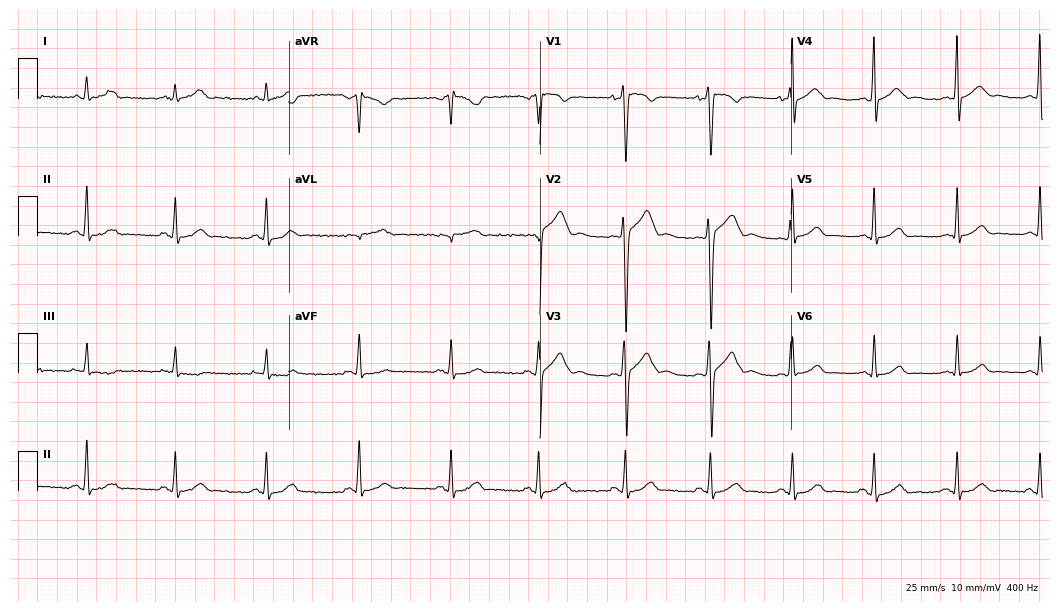
Resting 12-lead electrocardiogram. Patient: a 29-year-old male. Read as a normal ECG.